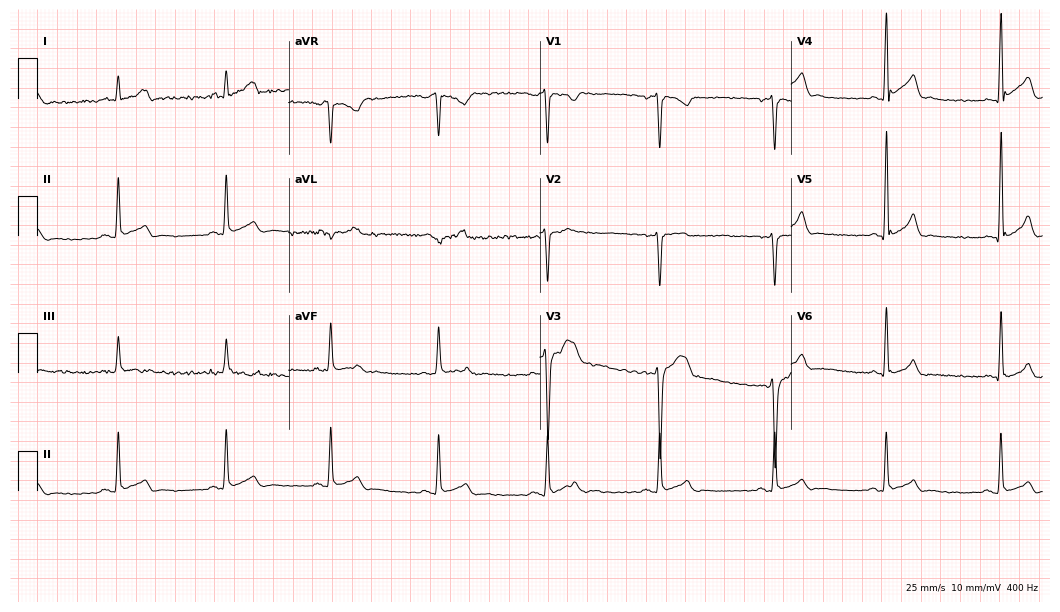
12-lead ECG (10.2-second recording at 400 Hz) from a 21-year-old man. Screened for six findings — first-degree AV block, right bundle branch block, left bundle branch block, sinus bradycardia, atrial fibrillation, sinus tachycardia — none is recorded. Other findings, if any, are not listed.